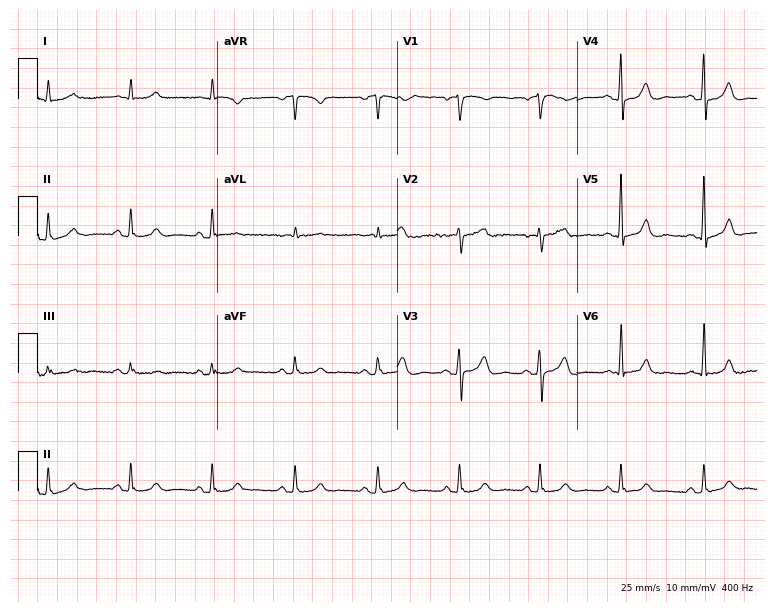
ECG (7.3-second recording at 400 Hz) — an 83-year-old male patient. Labelled as a normal ECG.